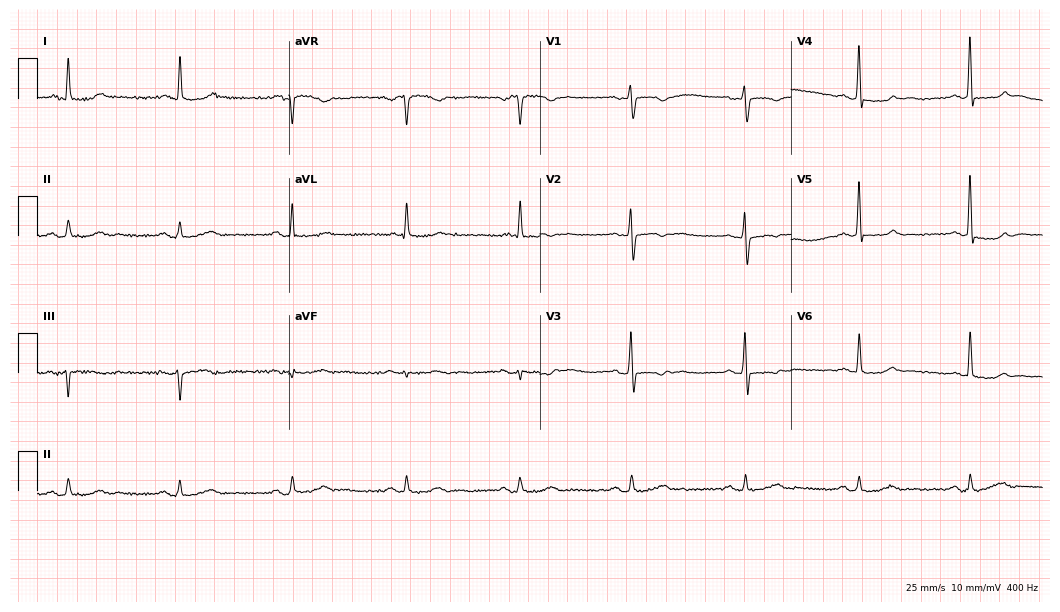
Electrocardiogram (10.2-second recording at 400 Hz), a female patient, 74 years old. Of the six screened findings (first-degree AV block, right bundle branch block (RBBB), left bundle branch block (LBBB), sinus bradycardia, atrial fibrillation (AF), sinus tachycardia), none is recorded.